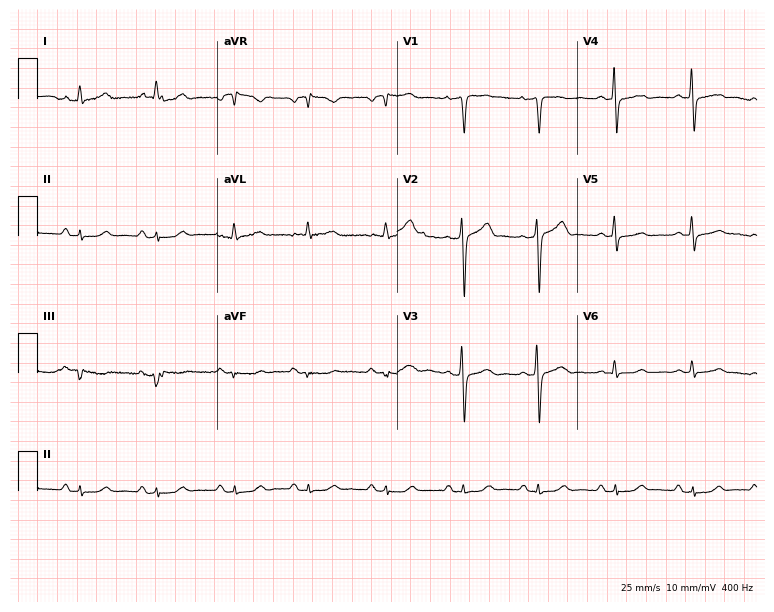
12-lead ECG from a male patient, 70 years old. Screened for six findings — first-degree AV block, right bundle branch block, left bundle branch block, sinus bradycardia, atrial fibrillation, sinus tachycardia — none is recorded.